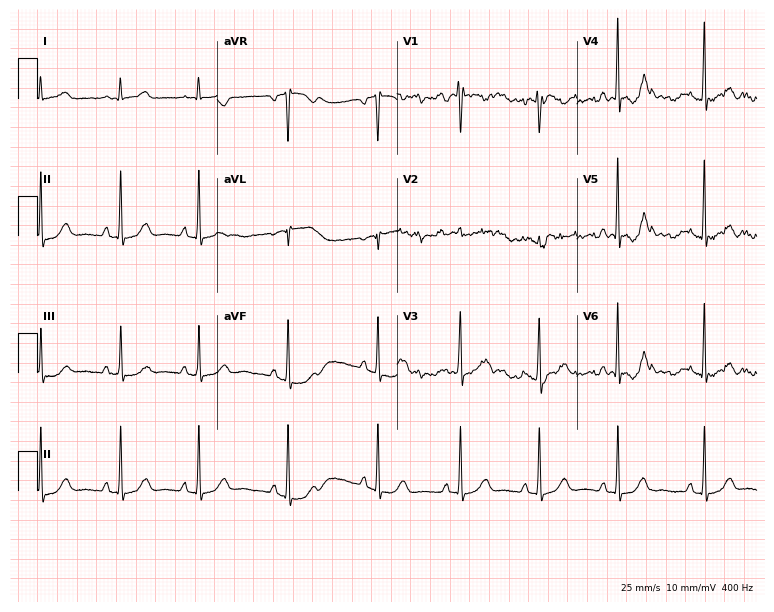
12-lead ECG (7.3-second recording at 400 Hz) from a 47-year-old female patient. Screened for six findings — first-degree AV block, right bundle branch block (RBBB), left bundle branch block (LBBB), sinus bradycardia, atrial fibrillation (AF), sinus tachycardia — none is recorded. Other findings, if any, are not listed.